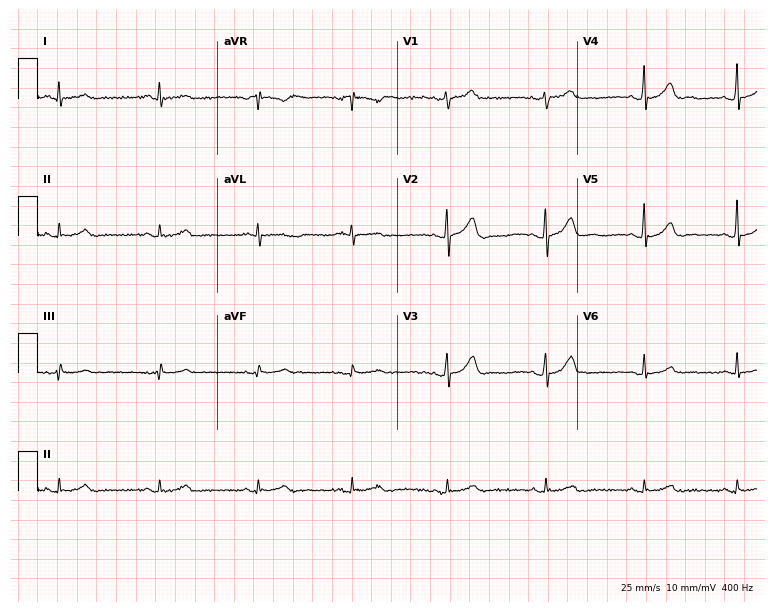
12-lead ECG (7.3-second recording at 400 Hz) from a 49-year-old male patient. Labelled as a normal ECG.